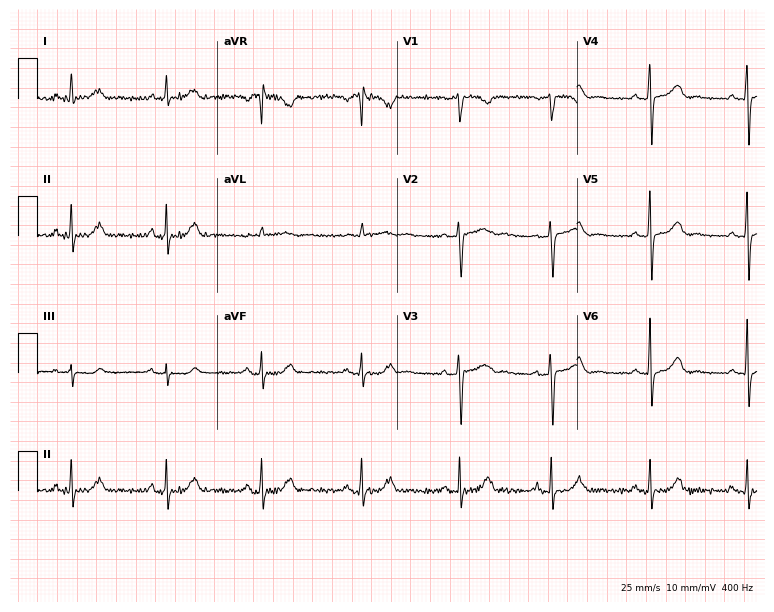
Standard 12-lead ECG recorded from a 44-year-old female. None of these six findings is recorded: first-degree AV block, right bundle branch block (RBBB), left bundle branch block (LBBB), sinus bradycardia, atrial fibrillation (AF), sinus tachycardia. Findings outside these six are not listed.